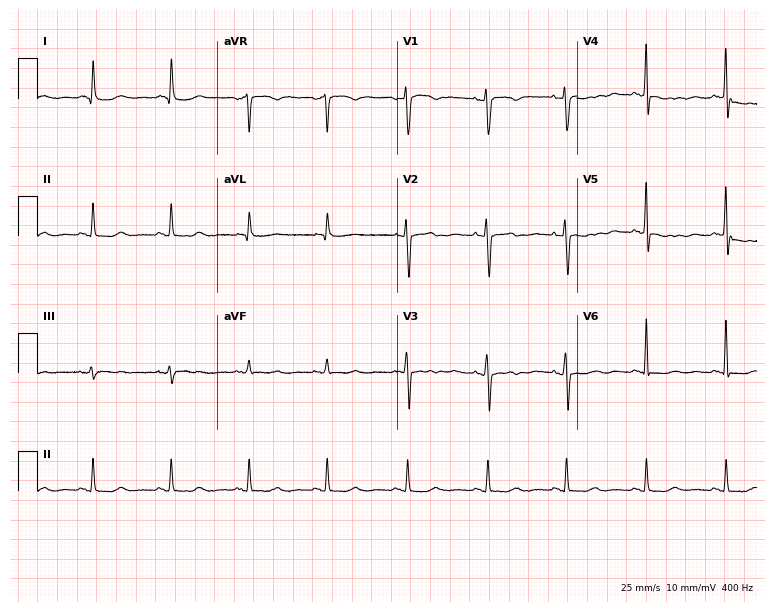
Resting 12-lead electrocardiogram (7.3-second recording at 400 Hz). Patient: a female, 51 years old. None of these six findings is recorded: first-degree AV block, right bundle branch block, left bundle branch block, sinus bradycardia, atrial fibrillation, sinus tachycardia.